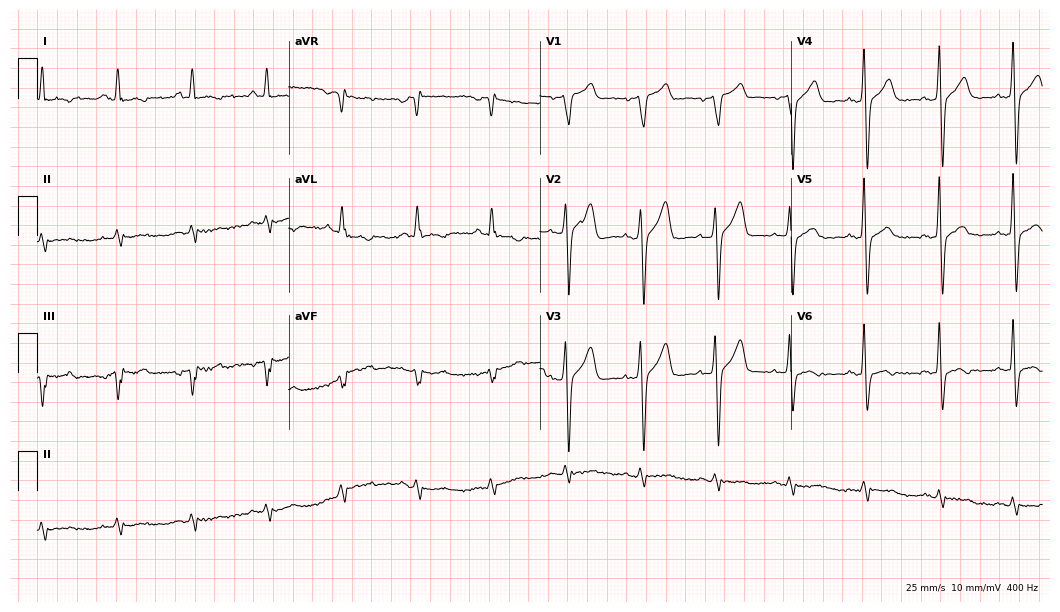
ECG — a 55-year-old male. Screened for six findings — first-degree AV block, right bundle branch block (RBBB), left bundle branch block (LBBB), sinus bradycardia, atrial fibrillation (AF), sinus tachycardia — none is recorded.